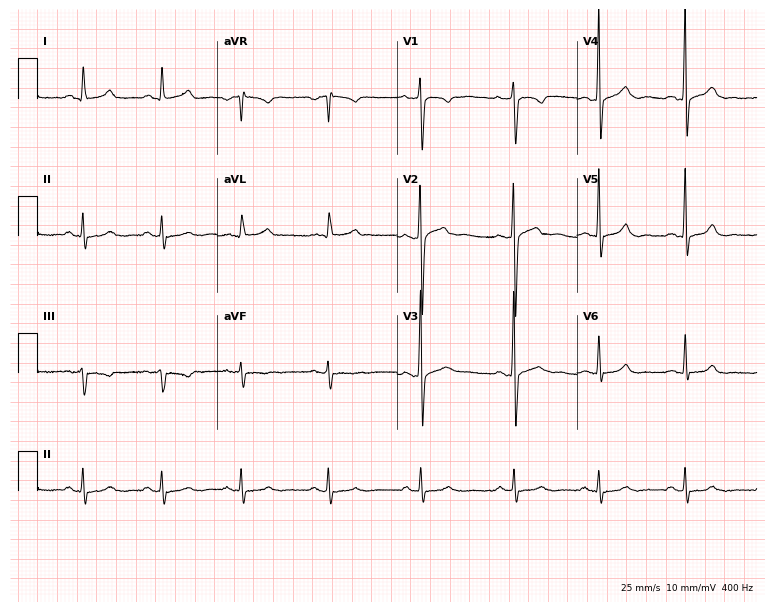
ECG — a 41-year-old male. Screened for six findings — first-degree AV block, right bundle branch block, left bundle branch block, sinus bradycardia, atrial fibrillation, sinus tachycardia — none is recorded. Only these six findings were labelled.